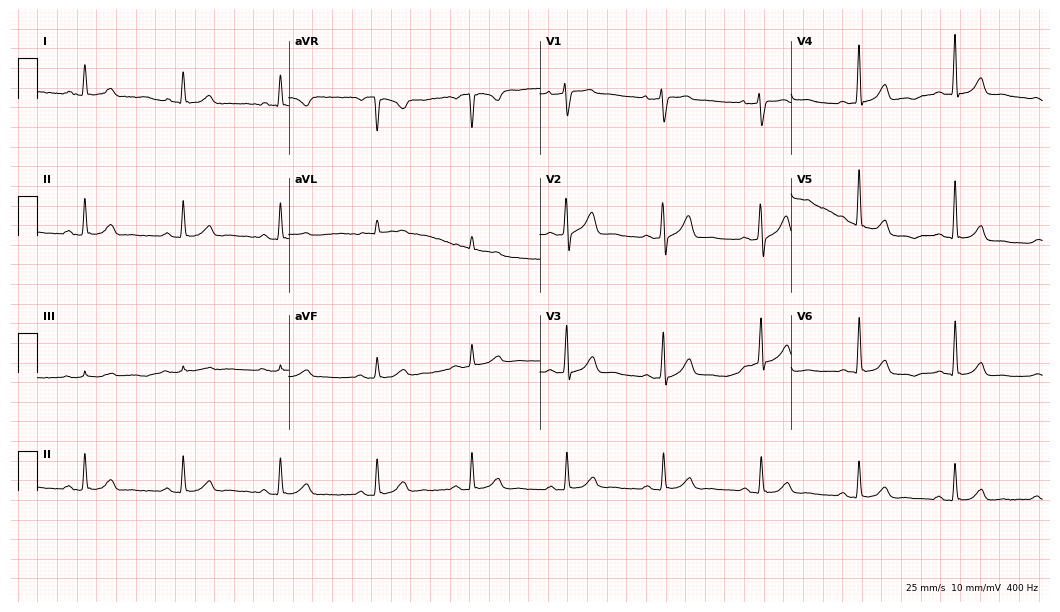
Resting 12-lead electrocardiogram. Patient: a male, 61 years old. Read as a normal ECG.